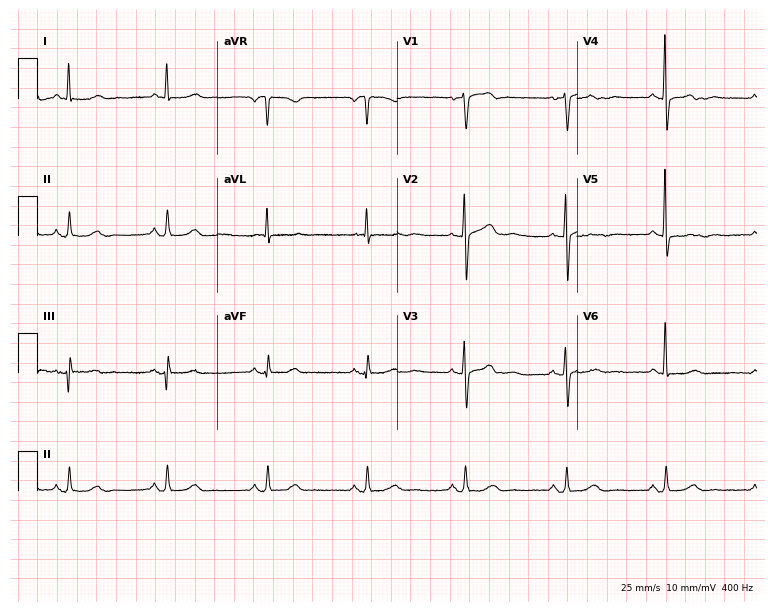
12-lead ECG from a woman, 65 years old. Labelled as a normal ECG.